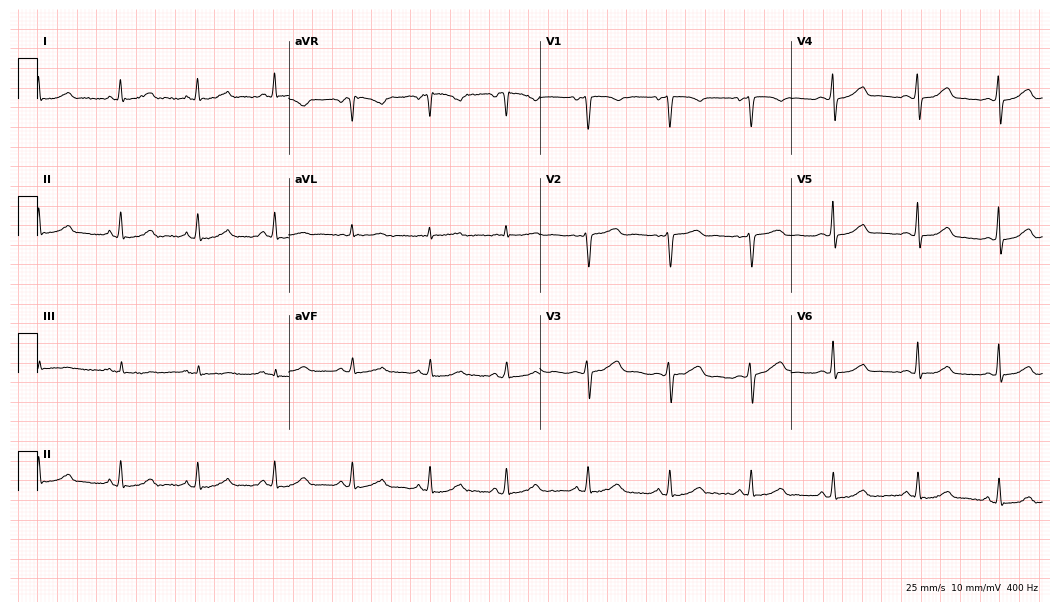
Standard 12-lead ECG recorded from a 44-year-old female patient. Read as a normal ECG.